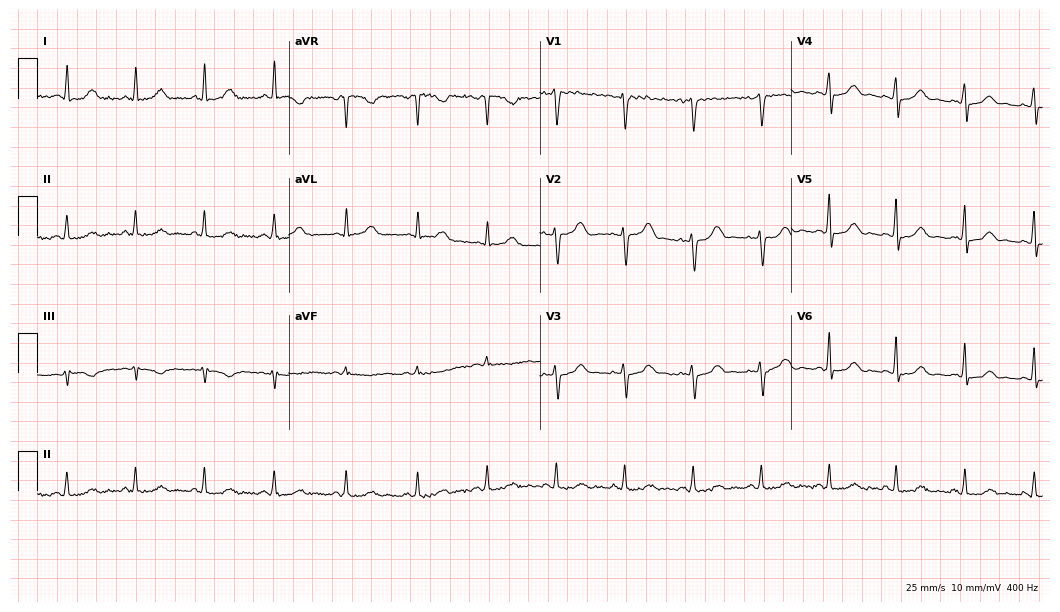
Standard 12-lead ECG recorded from a 42-year-old female patient. Read as a normal ECG.